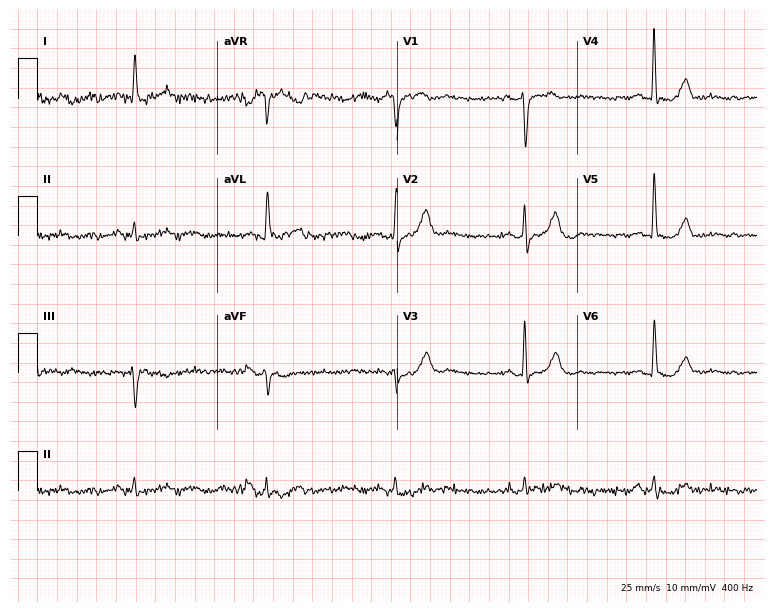
Resting 12-lead electrocardiogram (7.3-second recording at 400 Hz). Patient: a male, 74 years old. None of these six findings is recorded: first-degree AV block, right bundle branch block, left bundle branch block, sinus bradycardia, atrial fibrillation, sinus tachycardia.